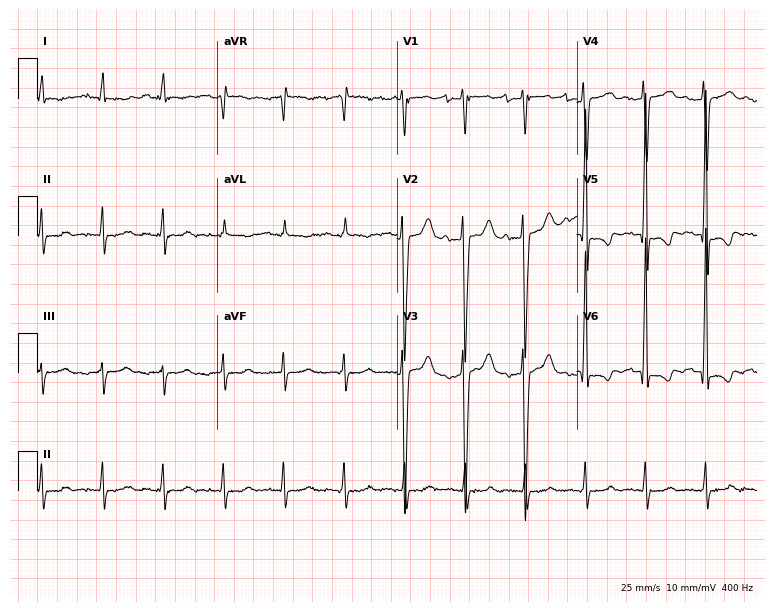
Electrocardiogram (7.3-second recording at 400 Hz), a male patient, 72 years old. Of the six screened findings (first-degree AV block, right bundle branch block, left bundle branch block, sinus bradycardia, atrial fibrillation, sinus tachycardia), none is recorded.